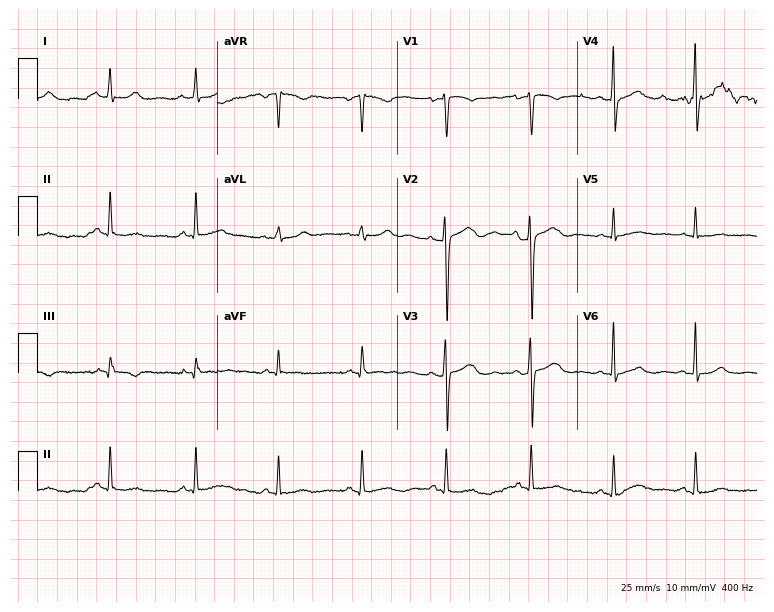
ECG (7.3-second recording at 400 Hz) — a 49-year-old female patient. Labelled as a normal ECG.